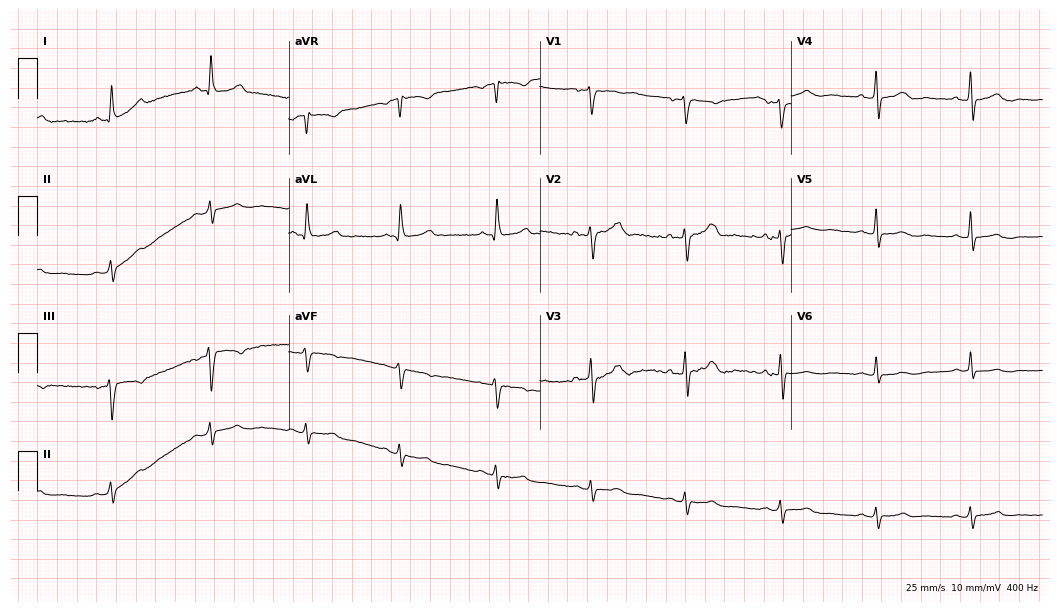
12-lead ECG from a 55-year-old male (10.2-second recording at 400 Hz). No first-degree AV block, right bundle branch block, left bundle branch block, sinus bradycardia, atrial fibrillation or sinus tachycardia recorded for this tracing.